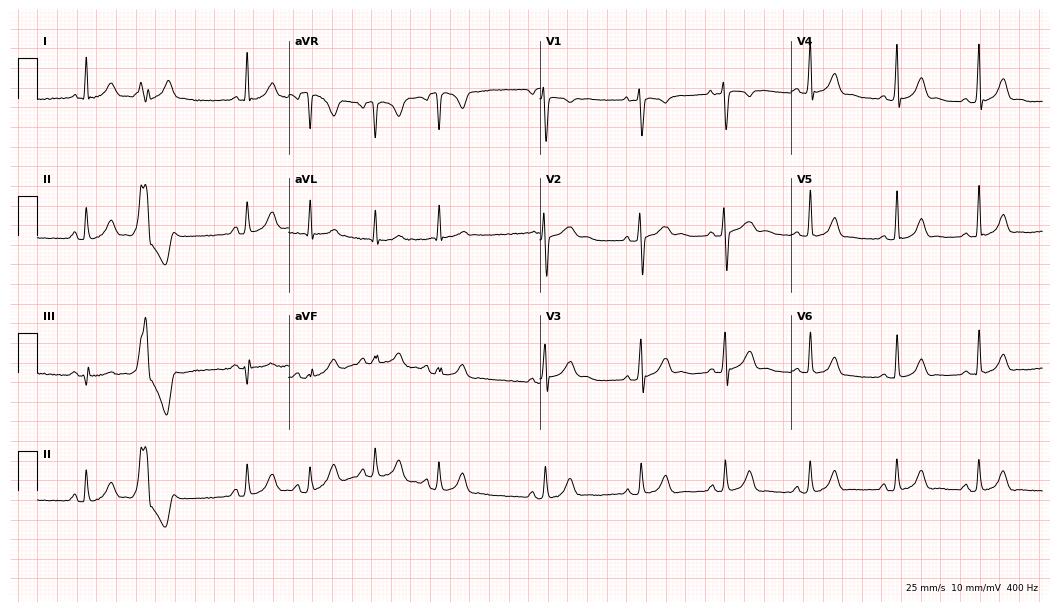
Electrocardiogram, a woman, 21 years old. Of the six screened findings (first-degree AV block, right bundle branch block, left bundle branch block, sinus bradycardia, atrial fibrillation, sinus tachycardia), none is recorded. Only these six findings were labelled.